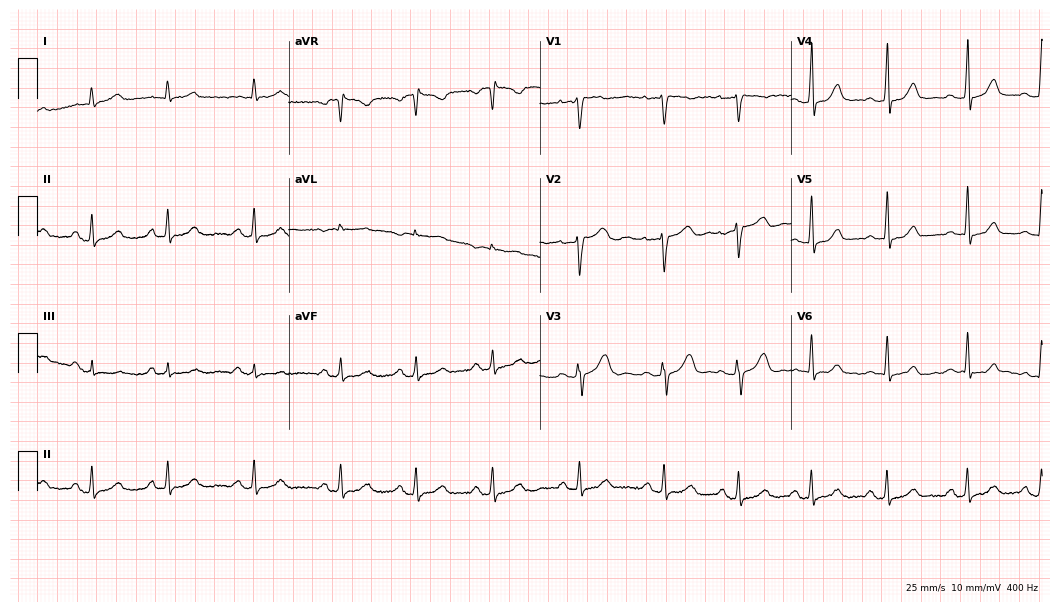
Electrocardiogram (10.2-second recording at 400 Hz), a 25-year-old female. Overall reading on record: normal ECG.